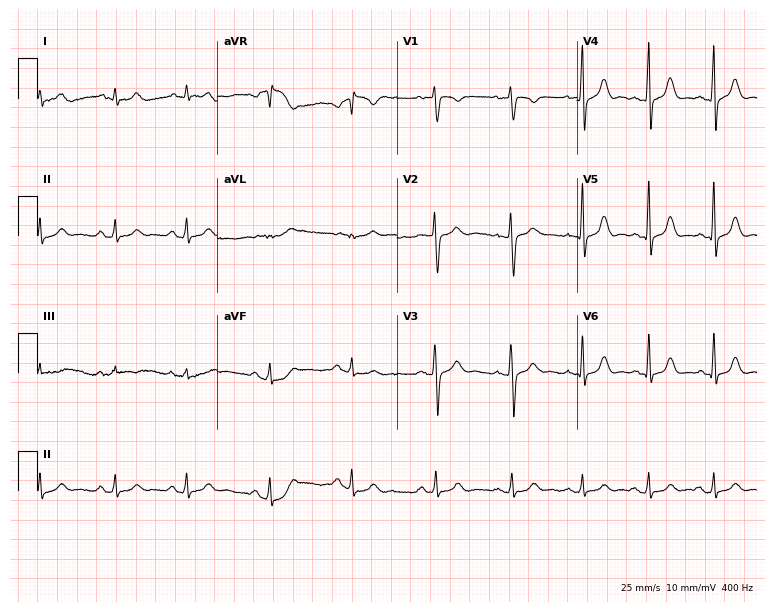
Electrocardiogram, a female, 27 years old. Overall reading on record: normal ECG.